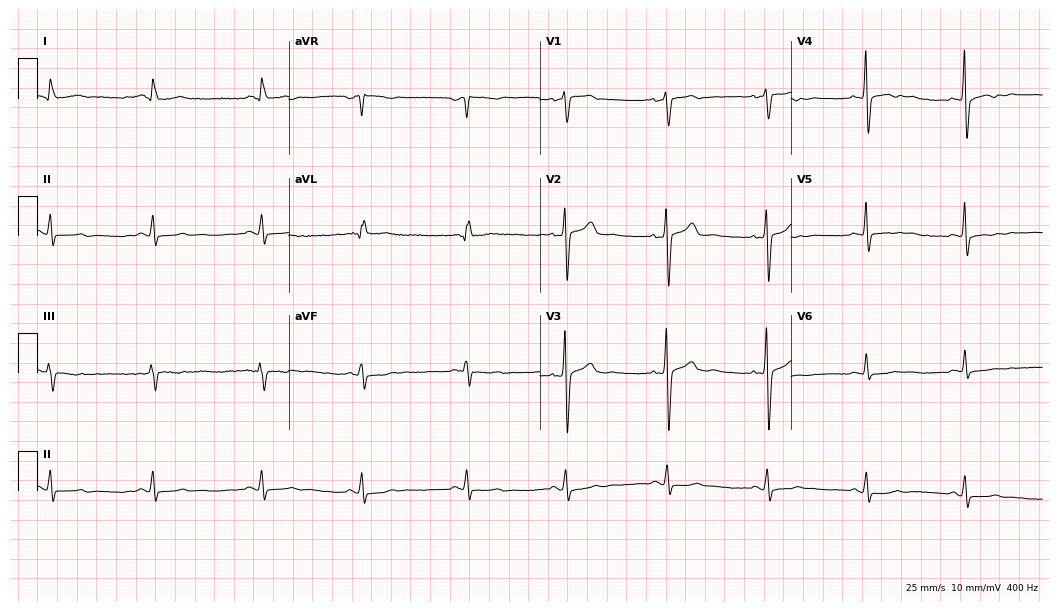
12-lead ECG from a female, 39 years old. Screened for six findings — first-degree AV block, right bundle branch block, left bundle branch block, sinus bradycardia, atrial fibrillation, sinus tachycardia — none is recorded. Findings outside these six are not listed.